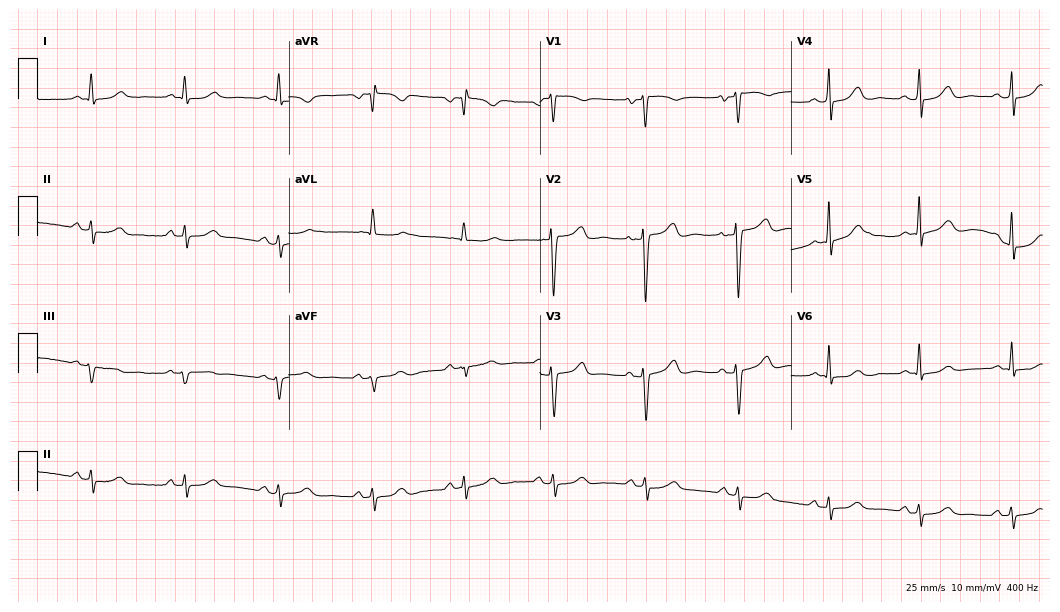
Resting 12-lead electrocardiogram. Patient: a woman, 61 years old. None of these six findings is recorded: first-degree AV block, right bundle branch block, left bundle branch block, sinus bradycardia, atrial fibrillation, sinus tachycardia. Only these six findings were labelled.